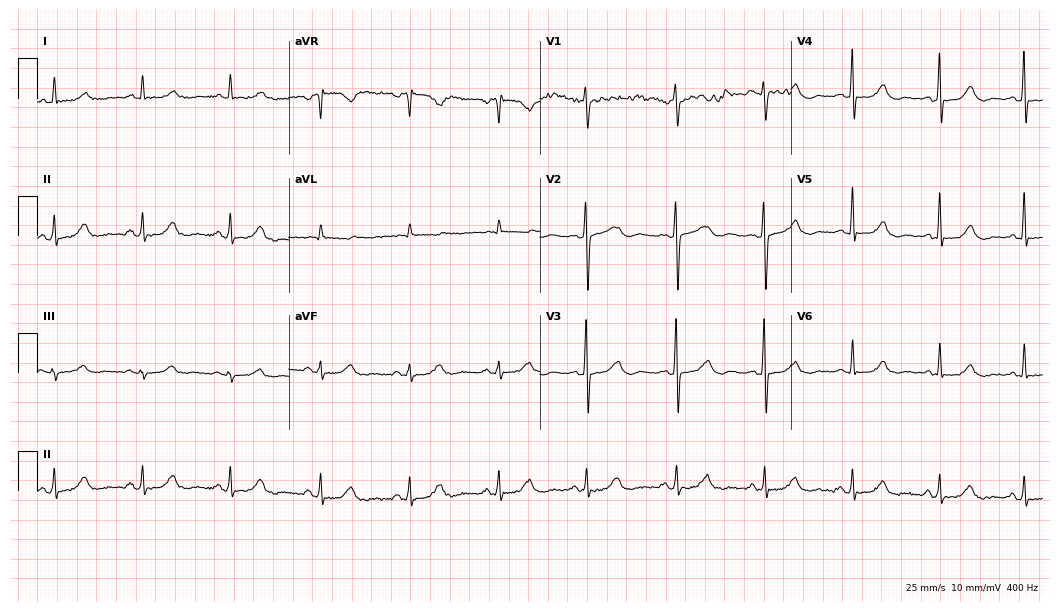
ECG (10.2-second recording at 400 Hz) — a female, 66 years old. Labelled as a normal ECG.